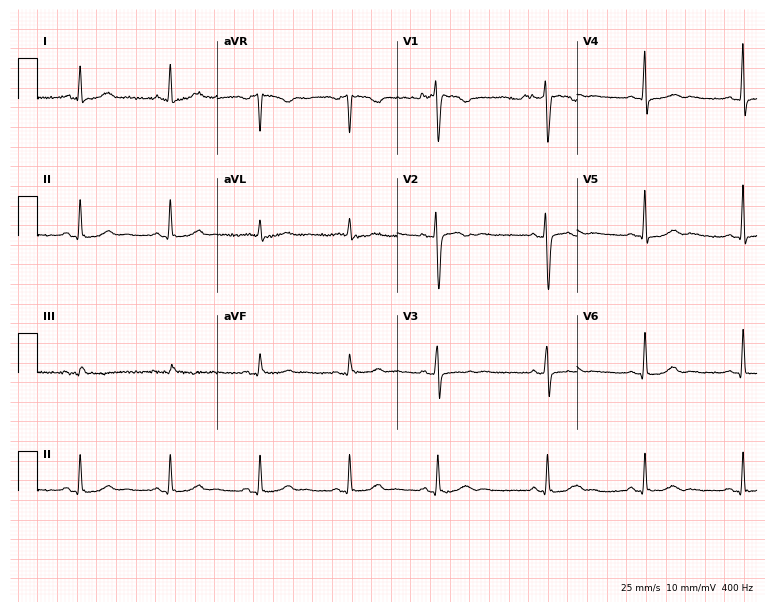
Standard 12-lead ECG recorded from a woman, 35 years old (7.3-second recording at 400 Hz). None of these six findings is recorded: first-degree AV block, right bundle branch block, left bundle branch block, sinus bradycardia, atrial fibrillation, sinus tachycardia. Only these six findings were labelled.